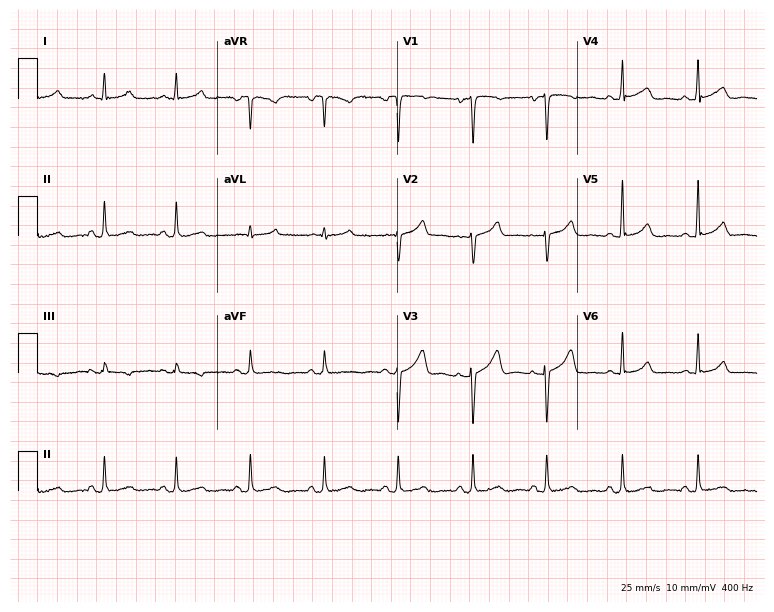
12-lead ECG from a 46-year-old female patient. Labelled as a normal ECG.